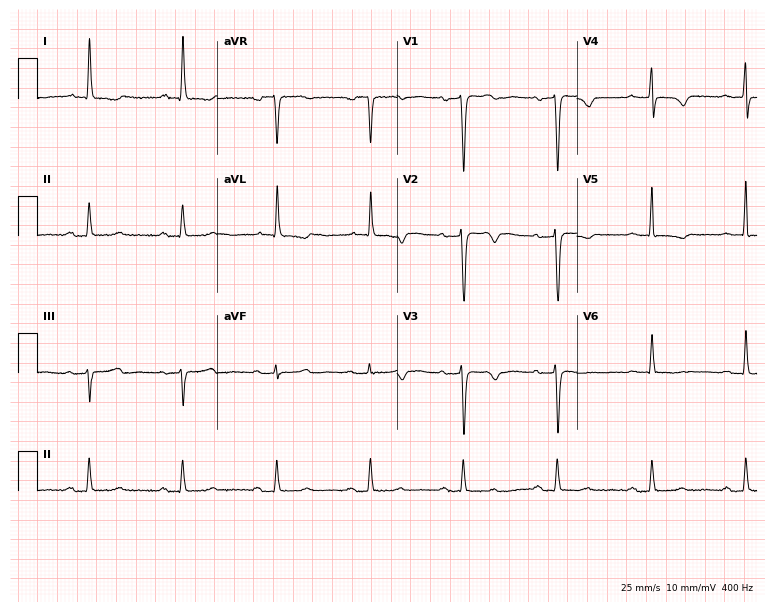
ECG — an 81-year-old female patient. Screened for six findings — first-degree AV block, right bundle branch block, left bundle branch block, sinus bradycardia, atrial fibrillation, sinus tachycardia — none is recorded. Only these six findings were labelled.